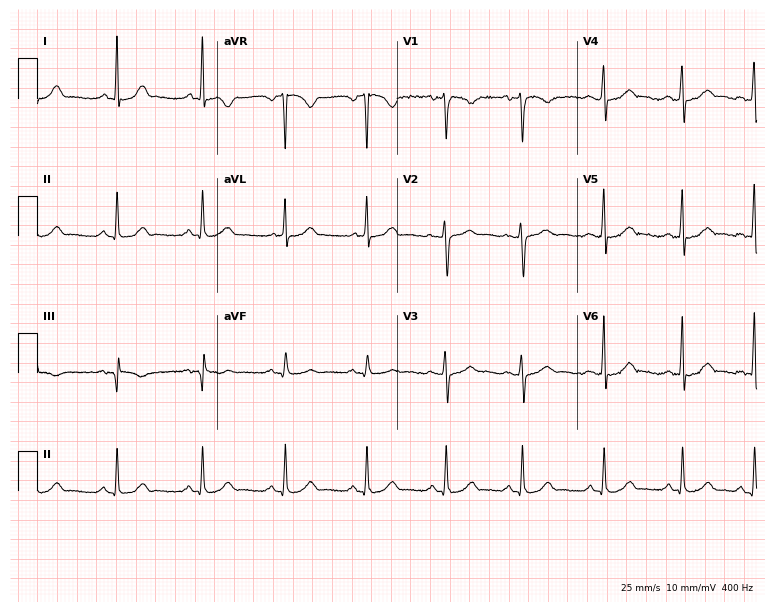
12-lead ECG from a 34-year-old female patient (7.3-second recording at 400 Hz). Recorded interpretation: within normal limits.